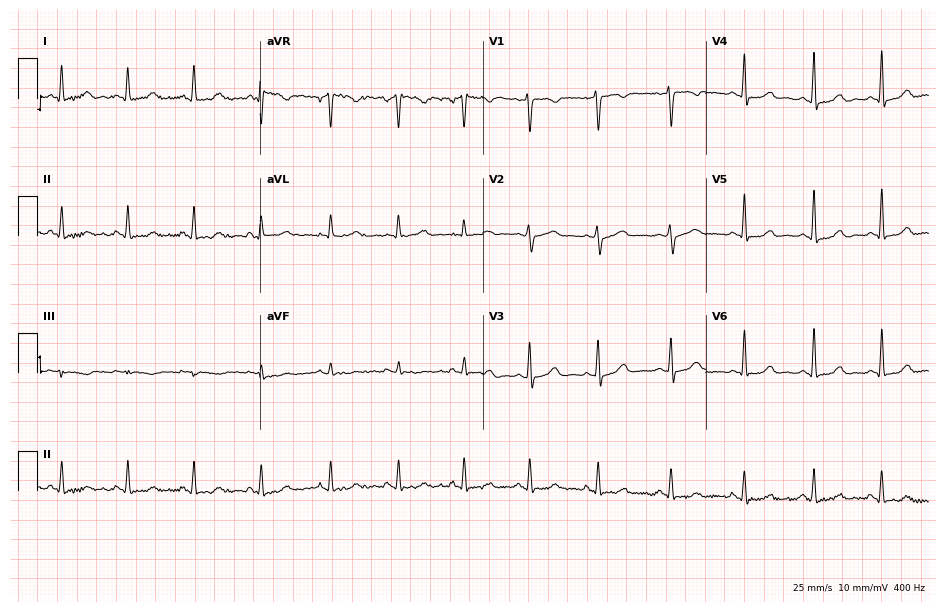
12-lead ECG from a female, 47 years old. Labelled as a normal ECG.